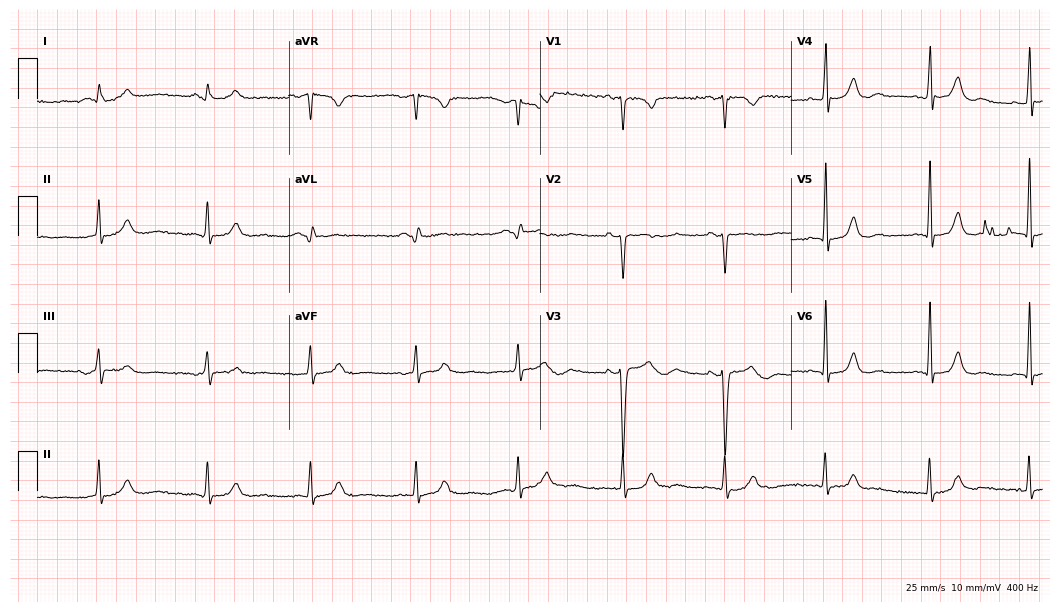
Standard 12-lead ECG recorded from a male, 44 years old. None of these six findings is recorded: first-degree AV block, right bundle branch block (RBBB), left bundle branch block (LBBB), sinus bradycardia, atrial fibrillation (AF), sinus tachycardia. Findings outside these six are not listed.